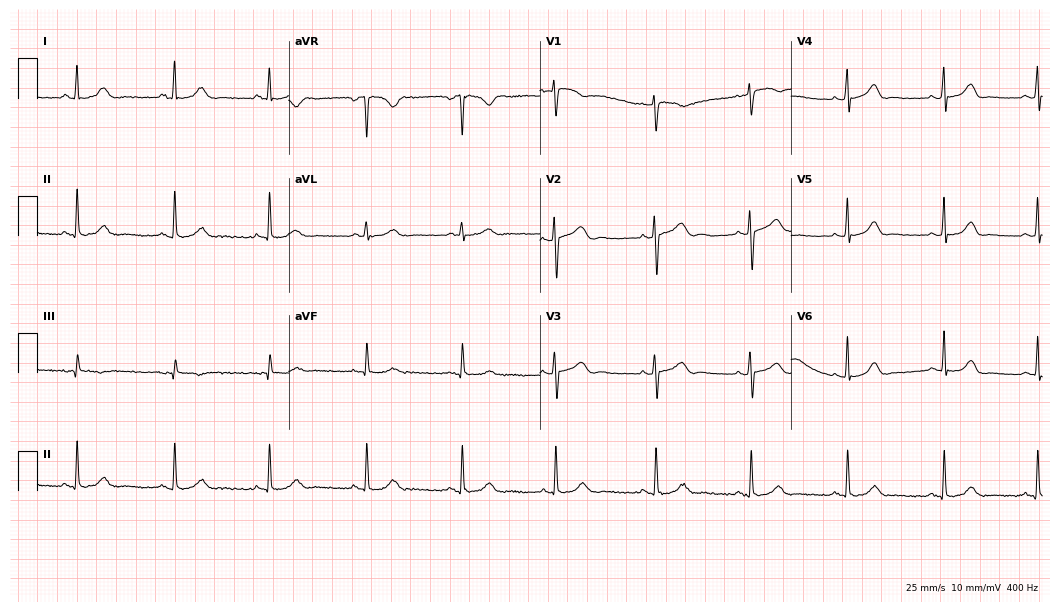
Standard 12-lead ECG recorded from a woman, 19 years old. None of these six findings is recorded: first-degree AV block, right bundle branch block (RBBB), left bundle branch block (LBBB), sinus bradycardia, atrial fibrillation (AF), sinus tachycardia.